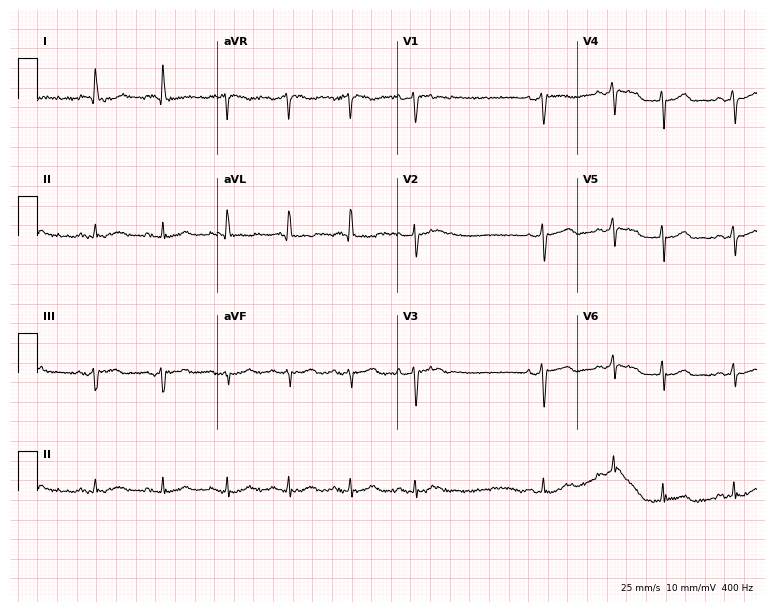
ECG (7.3-second recording at 400 Hz) — a female patient, 66 years old. Screened for six findings — first-degree AV block, right bundle branch block (RBBB), left bundle branch block (LBBB), sinus bradycardia, atrial fibrillation (AF), sinus tachycardia — none is recorded.